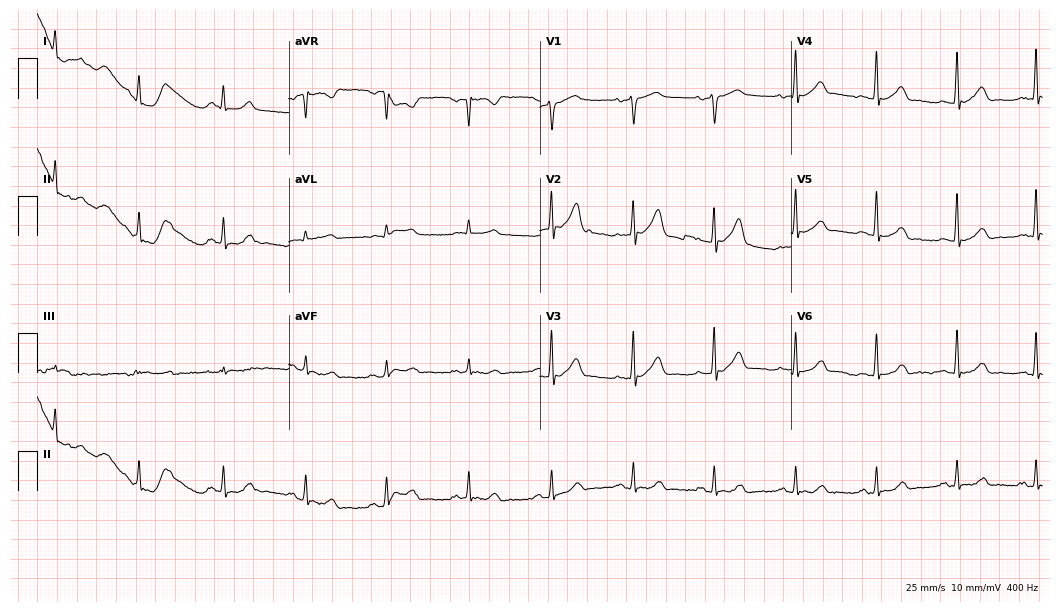
Electrocardiogram, a 57-year-old male patient. Of the six screened findings (first-degree AV block, right bundle branch block, left bundle branch block, sinus bradycardia, atrial fibrillation, sinus tachycardia), none is recorded.